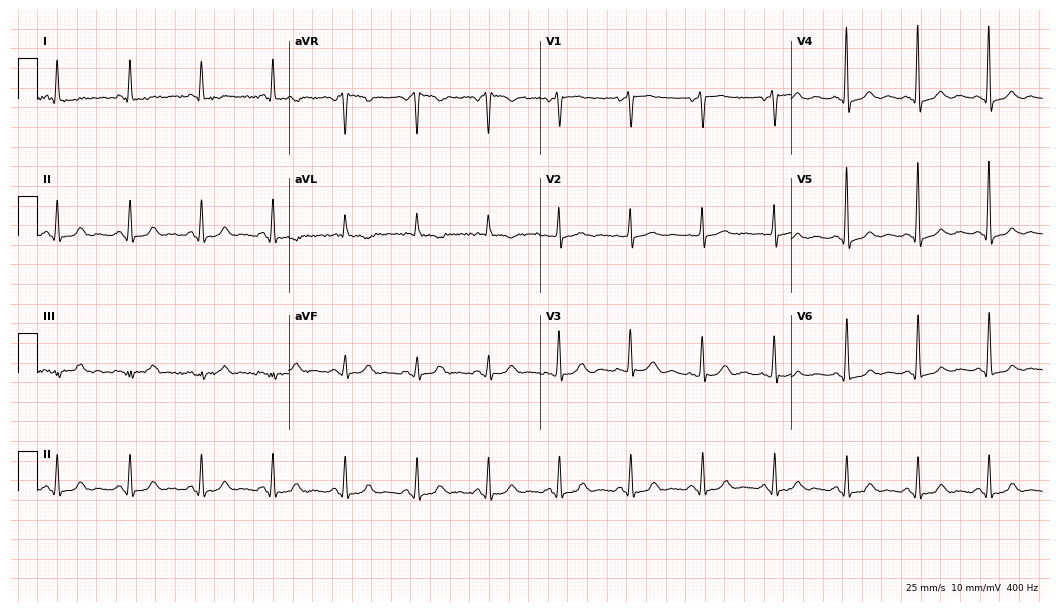
ECG — a woman, 60 years old. Screened for six findings — first-degree AV block, right bundle branch block, left bundle branch block, sinus bradycardia, atrial fibrillation, sinus tachycardia — none is recorded. Only these six findings were labelled.